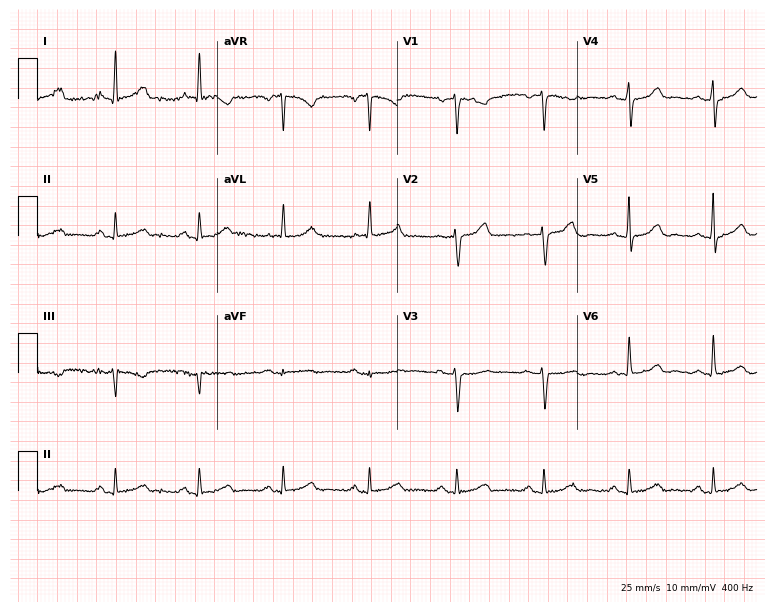
Standard 12-lead ECG recorded from a female, 60 years old. Read as a normal ECG.